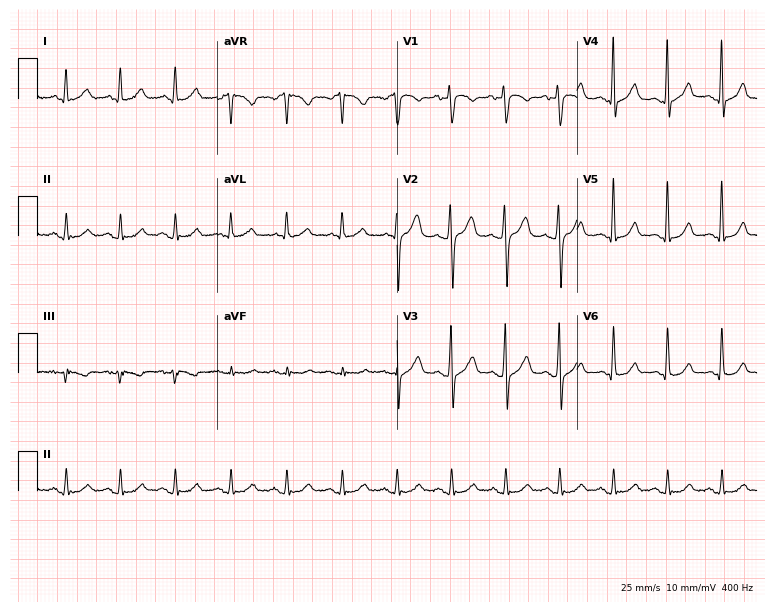
Electrocardiogram (7.3-second recording at 400 Hz), a man, 57 years old. Interpretation includes sinus tachycardia (a sinus rate of 100 beats per minute or more).